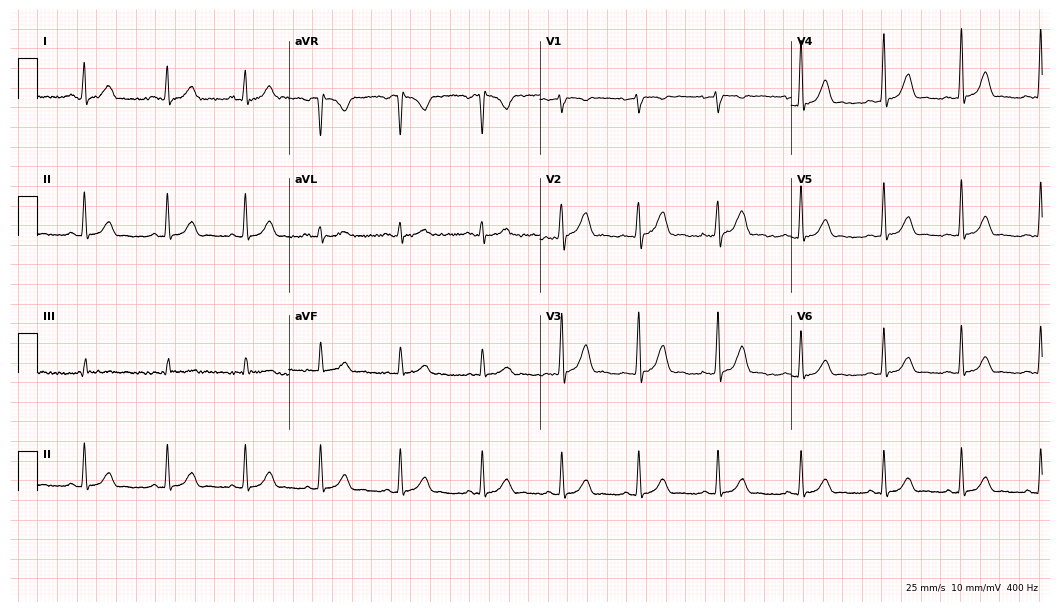
12-lead ECG from a female patient, 32 years old. No first-degree AV block, right bundle branch block (RBBB), left bundle branch block (LBBB), sinus bradycardia, atrial fibrillation (AF) or sinus tachycardia recorded for this tracing.